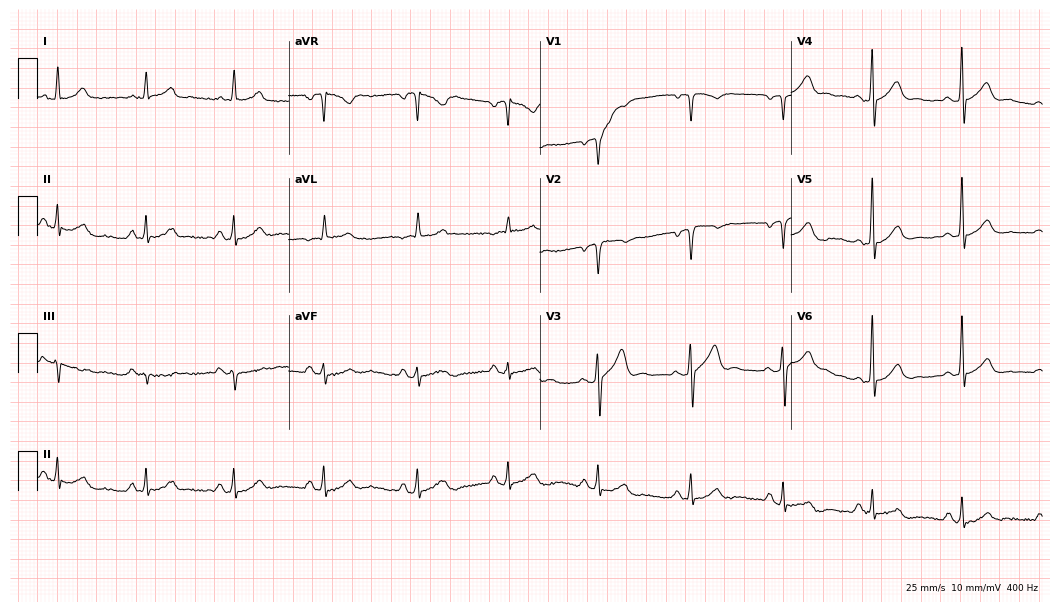
12-lead ECG from a male patient, 58 years old. No first-degree AV block, right bundle branch block, left bundle branch block, sinus bradycardia, atrial fibrillation or sinus tachycardia recorded for this tracing.